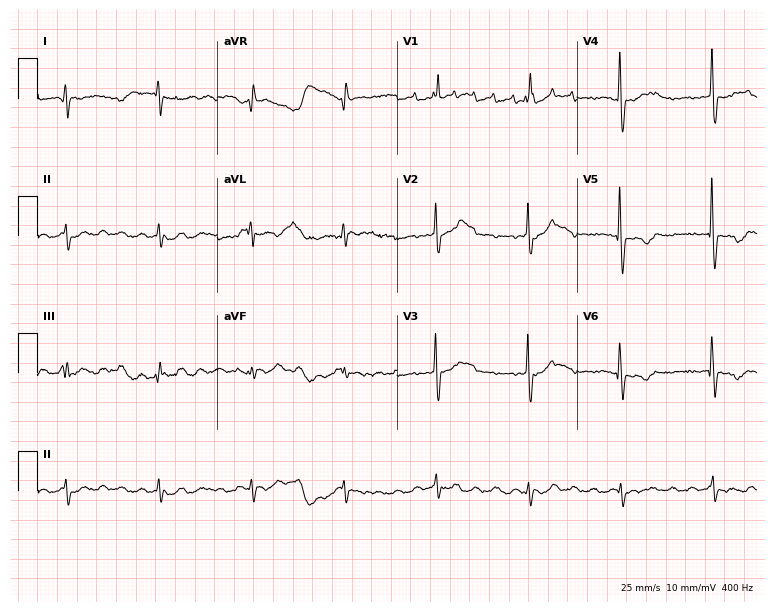
ECG — an 80-year-old man. Screened for six findings — first-degree AV block, right bundle branch block (RBBB), left bundle branch block (LBBB), sinus bradycardia, atrial fibrillation (AF), sinus tachycardia — none is recorded.